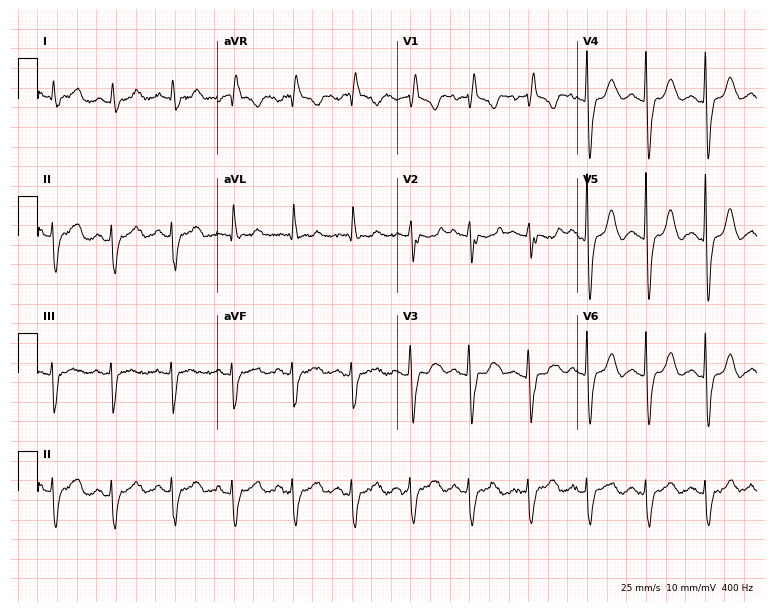
12-lead ECG (7.3-second recording at 400 Hz) from a male patient, 75 years old. Findings include right bundle branch block (RBBB).